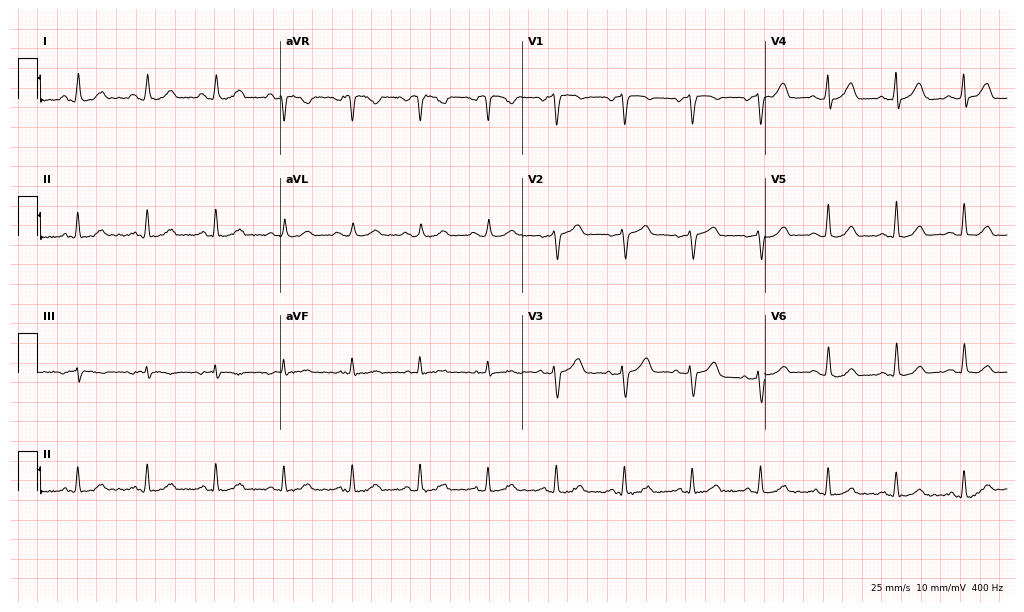
ECG (9.9-second recording at 400 Hz) — a male, 66 years old. Labelled as a normal ECG.